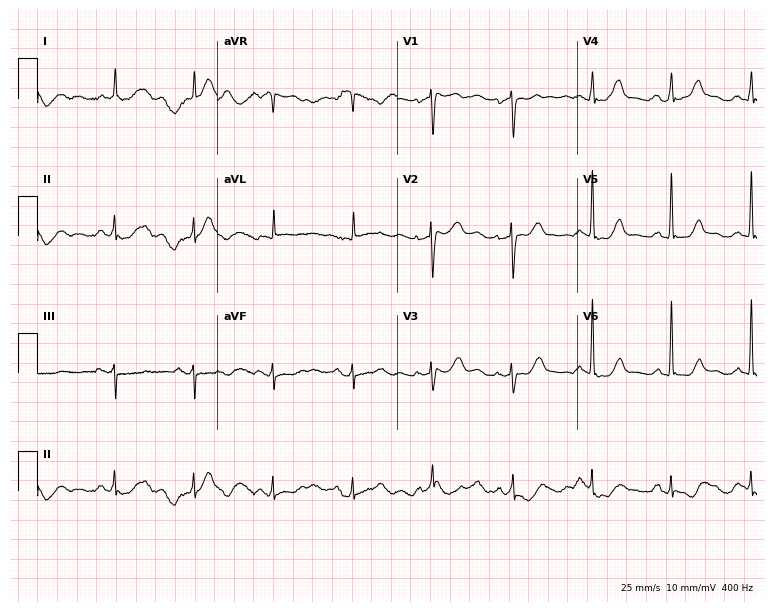
Electrocardiogram, a female, 78 years old. Of the six screened findings (first-degree AV block, right bundle branch block, left bundle branch block, sinus bradycardia, atrial fibrillation, sinus tachycardia), none is recorded. Only these six findings were labelled.